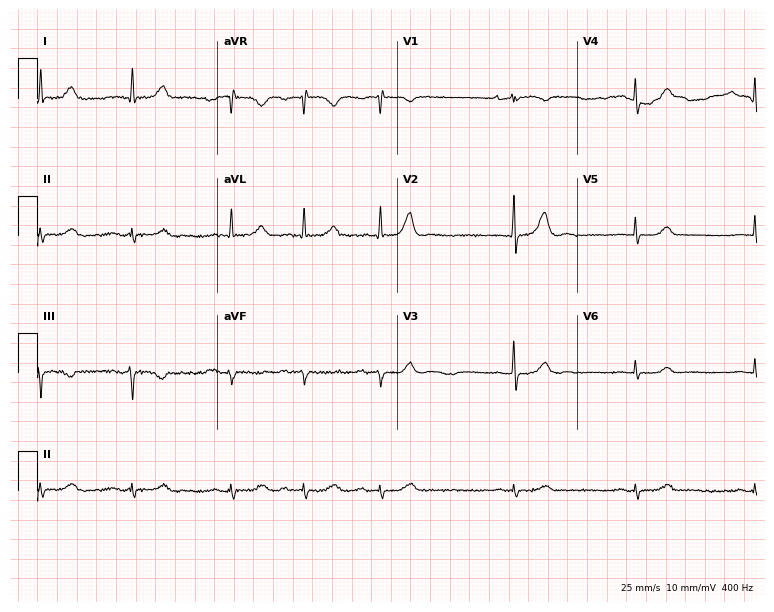
12-lead ECG from a female, 81 years old. Shows atrial fibrillation (AF).